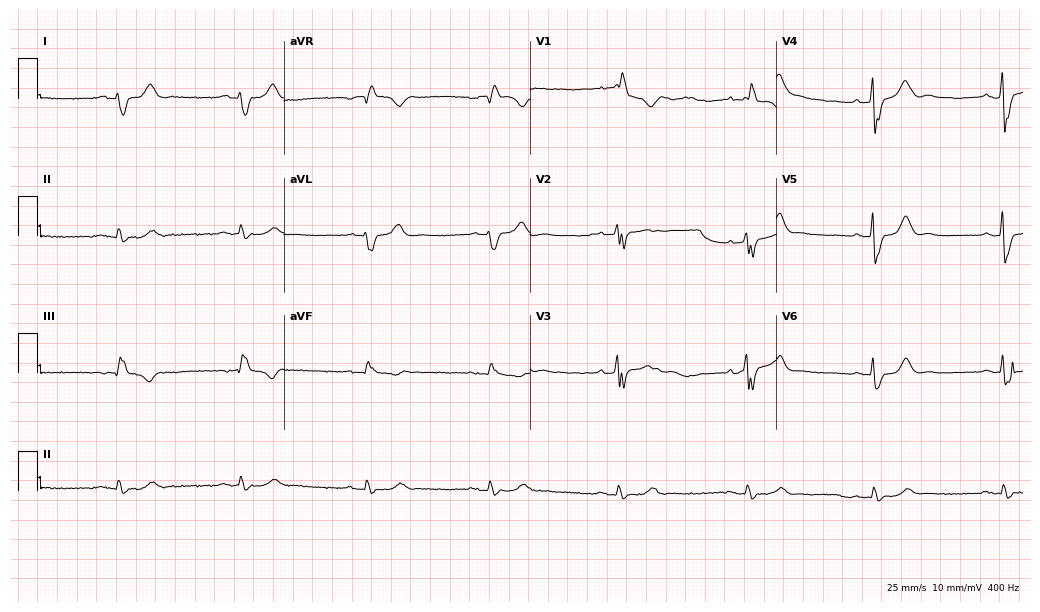
12-lead ECG (10-second recording at 400 Hz) from a 68-year-old woman. Findings include right bundle branch block, sinus bradycardia (a sinus rate of 50 beats per minute or less).